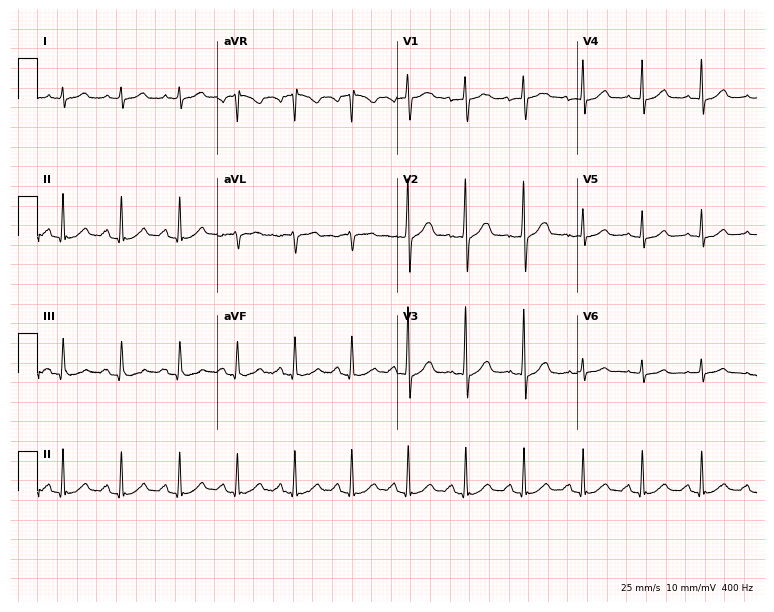
Standard 12-lead ECG recorded from a male patient, 59 years old. Read as a normal ECG.